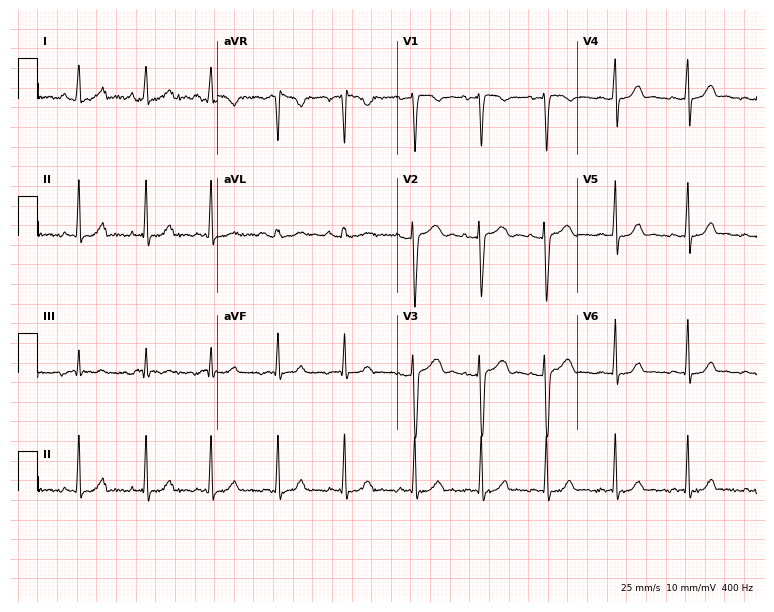
Electrocardiogram, a 22-year-old female patient. Overall reading on record: normal ECG.